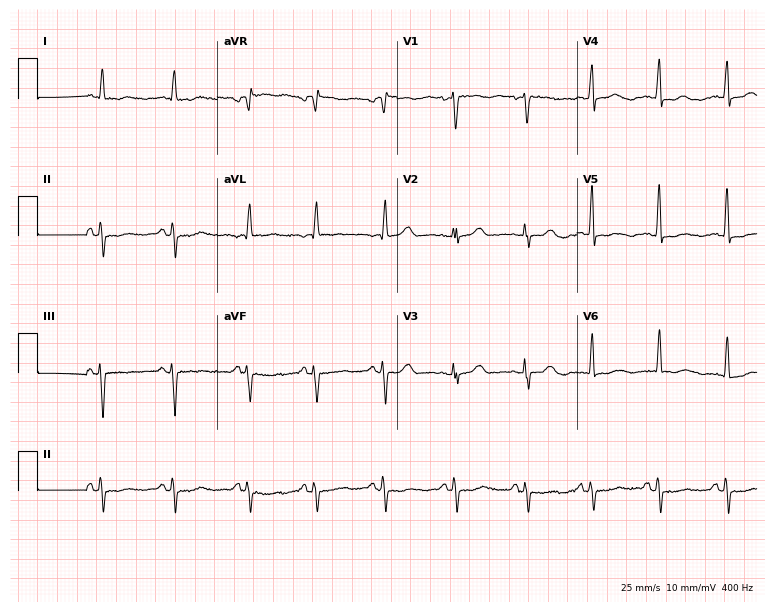
12-lead ECG (7.3-second recording at 400 Hz) from a female patient, 77 years old. Screened for six findings — first-degree AV block, right bundle branch block (RBBB), left bundle branch block (LBBB), sinus bradycardia, atrial fibrillation (AF), sinus tachycardia — none is recorded. Findings outside these six are not listed.